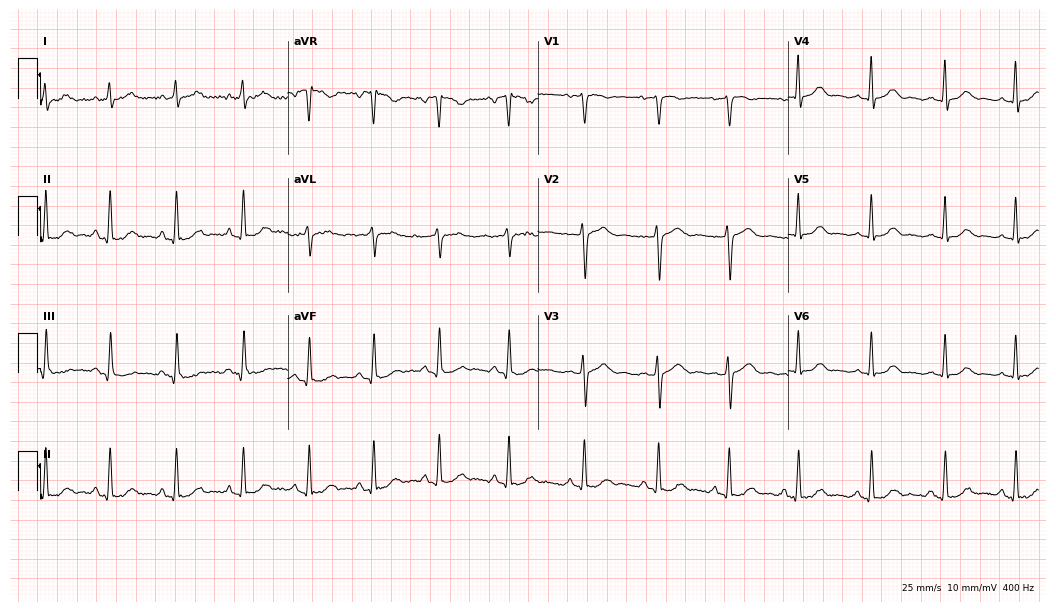
12-lead ECG from a 38-year-old female patient. Labelled as a normal ECG.